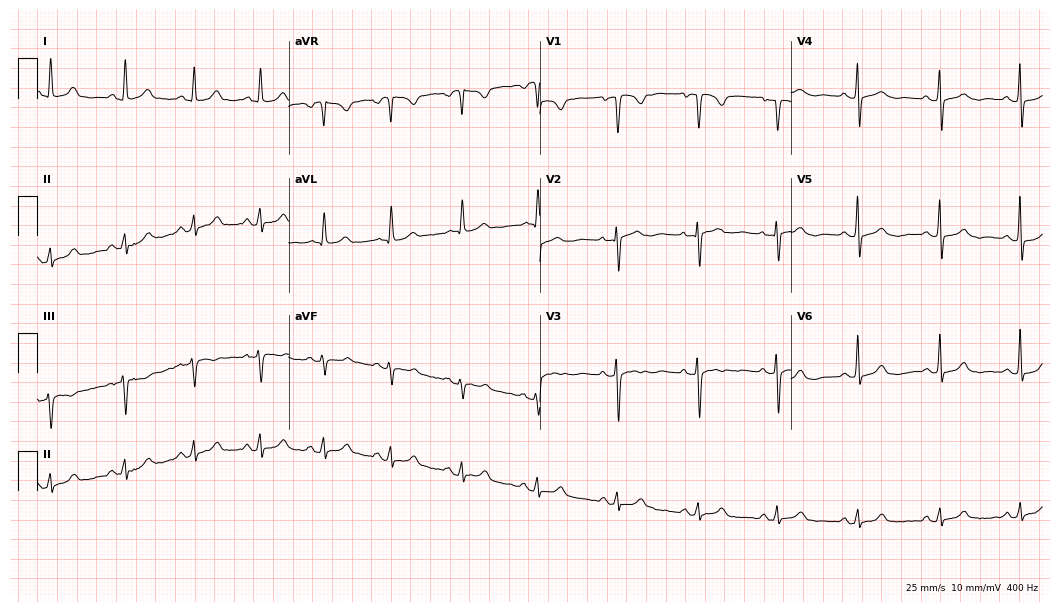
Resting 12-lead electrocardiogram (10.2-second recording at 400 Hz). Patient: a woman, 67 years old. Read as a normal ECG.